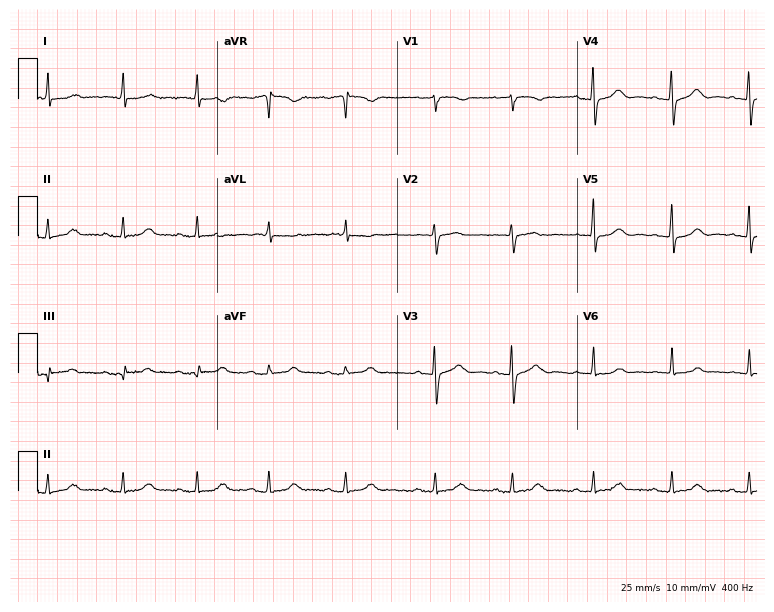
12-lead ECG (7.3-second recording at 400 Hz) from an 82-year-old female patient. Screened for six findings — first-degree AV block, right bundle branch block (RBBB), left bundle branch block (LBBB), sinus bradycardia, atrial fibrillation (AF), sinus tachycardia — none is recorded.